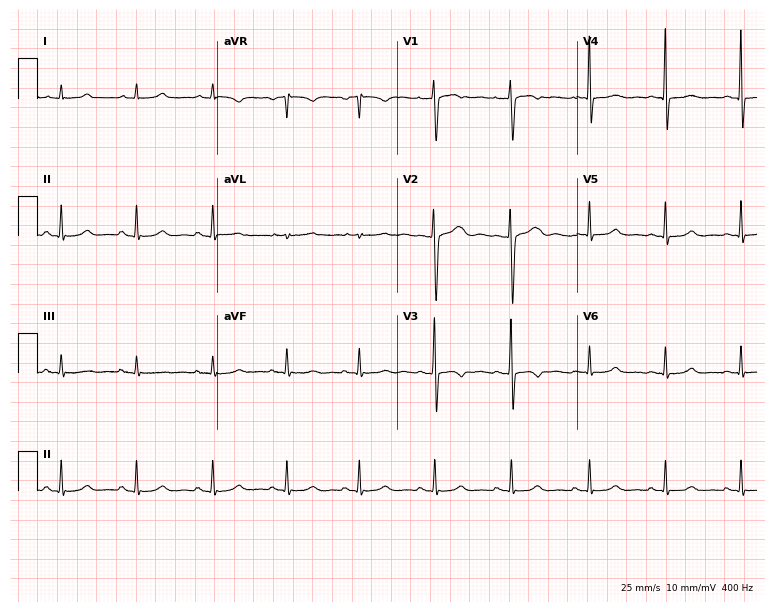
Standard 12-lead ECG recorded from a female, 27 years old (7.3-second recording at 400 Hz). None of these six findings is recorded: first-degree AV block, right bundle branch block, left bundle branch block, sinus bradycardia, atrial fibrillation, sinus tachycardia. Other findings, if any, are not listed.